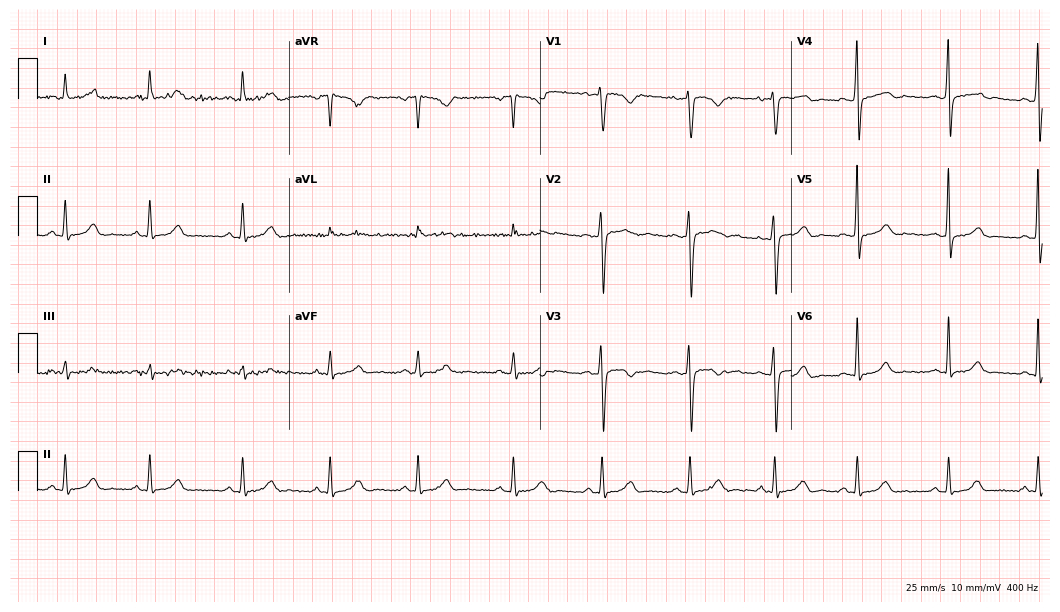
Electrocardiogram, a 33-year-old female. Of the six screened findings (first-degree AV block, right bundle branch block, left bundle branch block, sinus bradycardia, atrial fibrillation, sinus tachycardia), none is recorded.